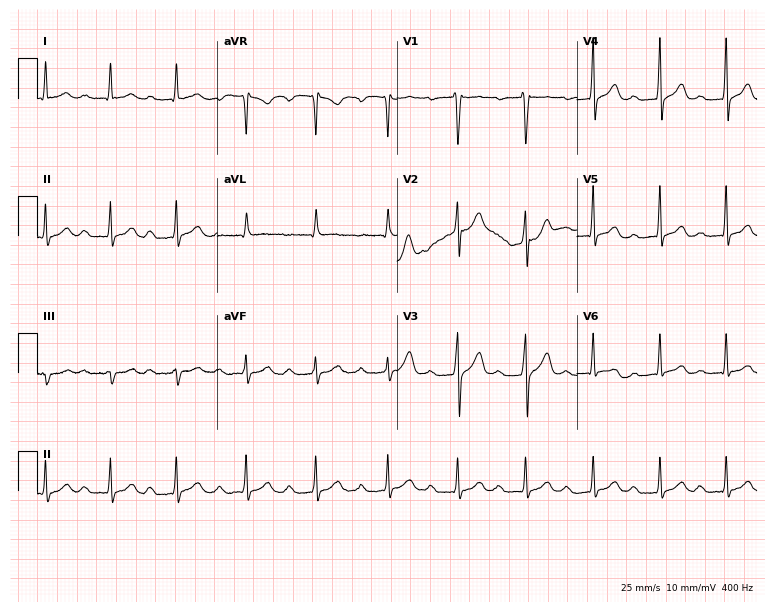
Electrocardiogram, a male, 42 years old. Interpretation includes first-degree AV block.